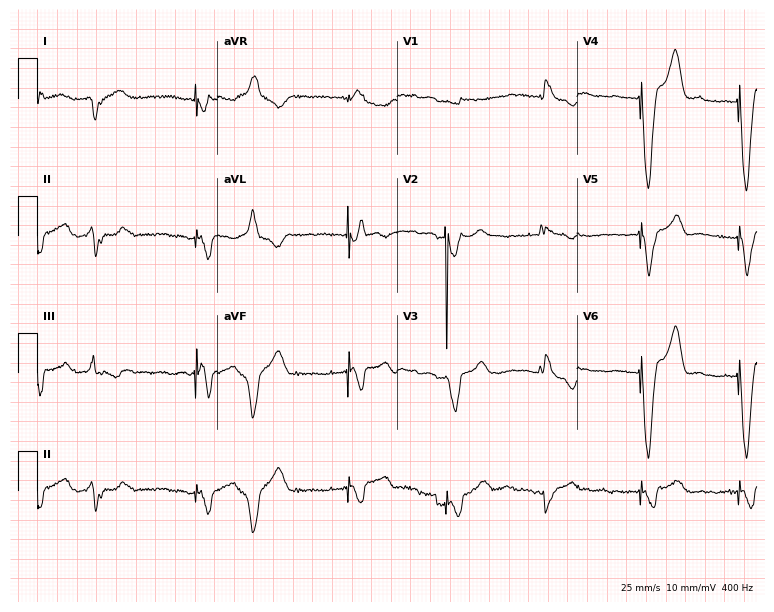
Resting 12-lead electrocardiogram (7.3-second recording at 400 Hz). Patient: a 59-year-old female. None of these six findings is recorded: first-degree AV block, right bundle branch block, left bundle branch block, sinus bradycardia, atrial fibrillation, sinus tachycardia. Findings outside these six are not listed.